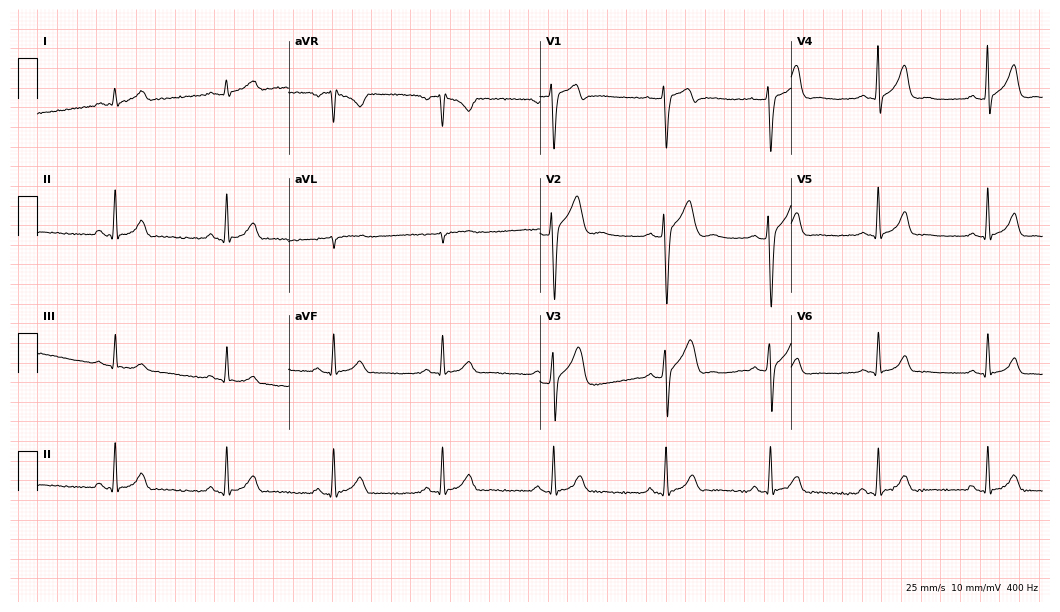
Resting 12-lead electrocardiogram (10.2-second recording at 400 Hz). Patient: a male, 40 years old. Read as a normal ECG.